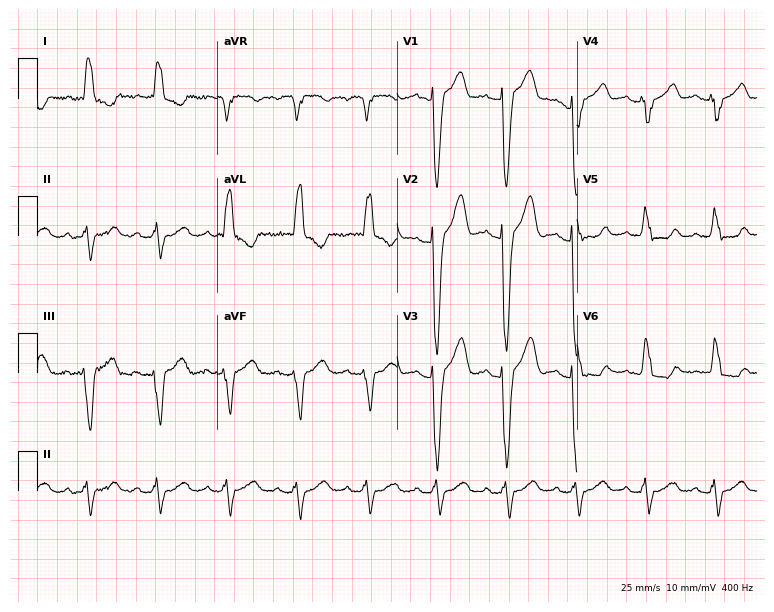
Standard 12-lead ECG recorded from a female patient, 83 years old (7.3-second recording at 400 Hz). The tracing shows left bundle branch block.